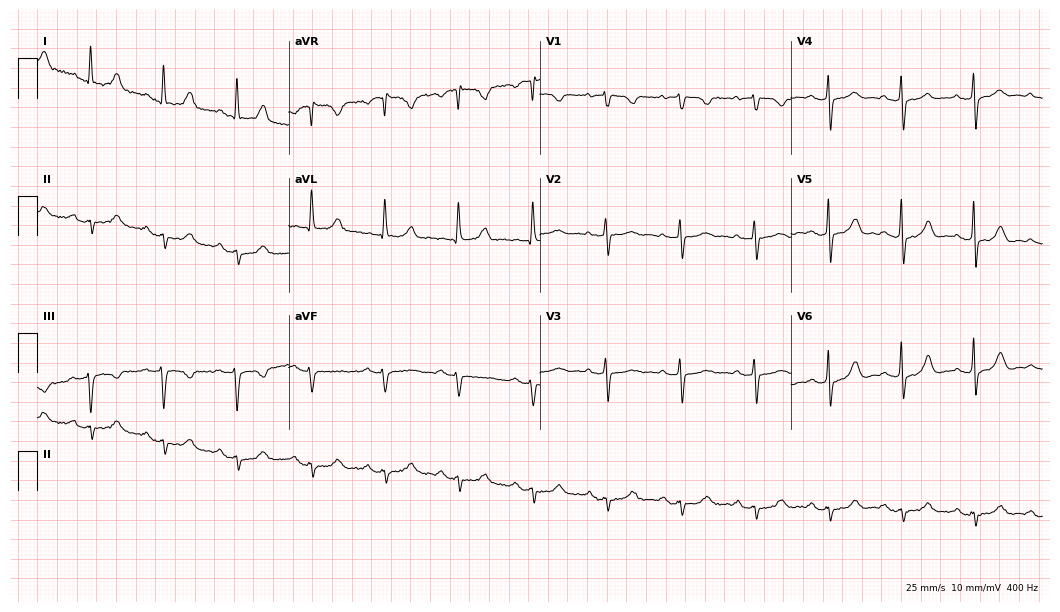
12-lead ECG (10.2-second recording at 400 Hz) from a 71-year-old woman. Screened for six findings — first-degree AV block, right bundle branch block (RBBB), left bundle branch block (LBBB), sinus bradycardia, atrial fibrillation (AF), sinus tachycardia — none is recorded. Only these six findings were labelled.